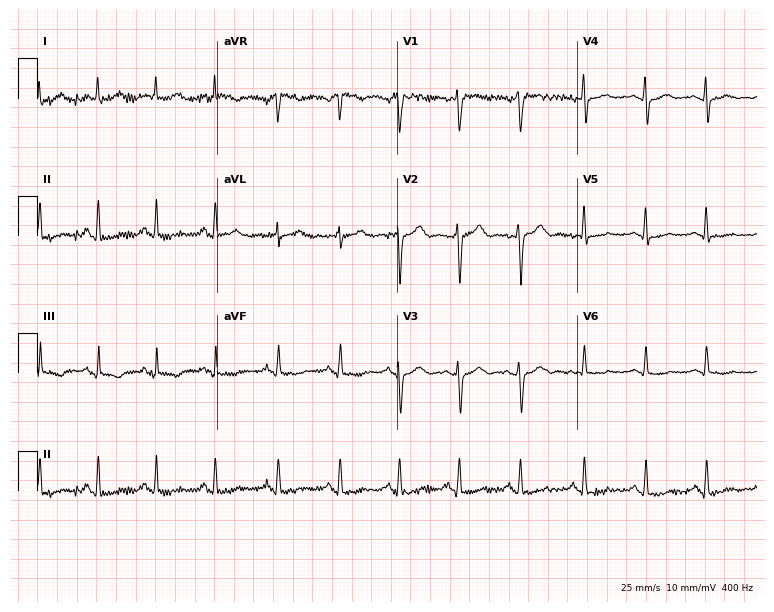
12-lead ECG (7.3-second recording at 400 Hz) from a man, 35 years old. Screened for six findings — first-degree AV block, right bundle branch block, left bundle branch block, sinus bradycardia, atrial fibrillation, sinus tachycardia — none is recorded.